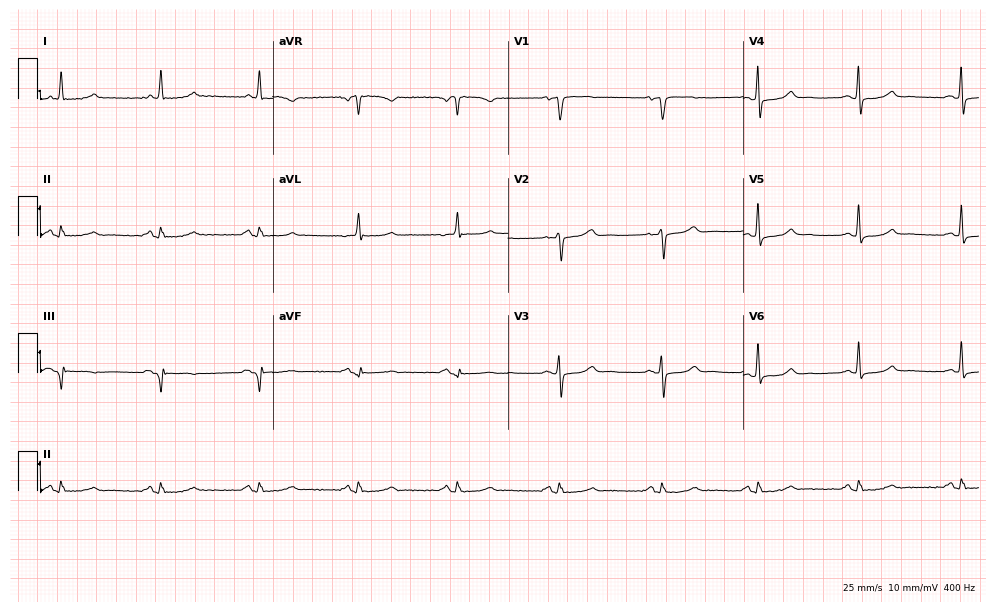
12-lead ECG from a 57-year-old woman. Recorded interpretation: within normal limits.